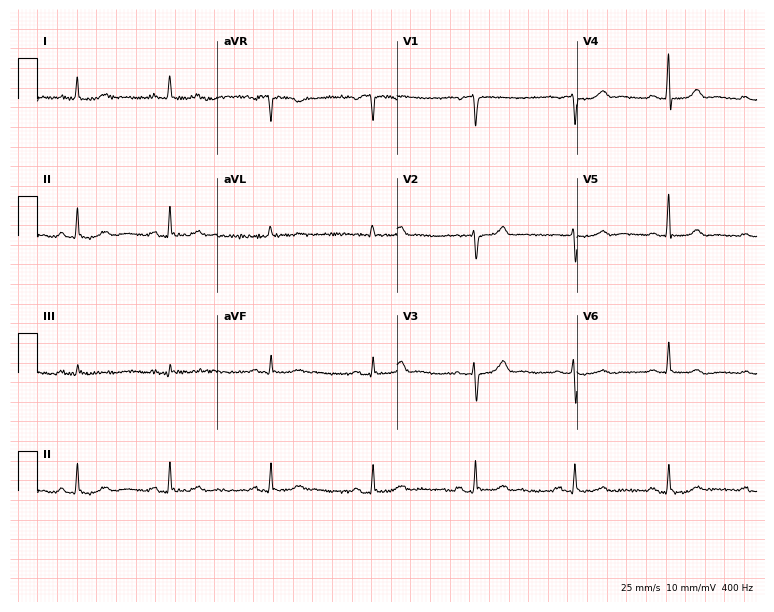
Resting 12-lead electrocardiogram. Patient: a female, 62 years old. Read as a normal ECG.